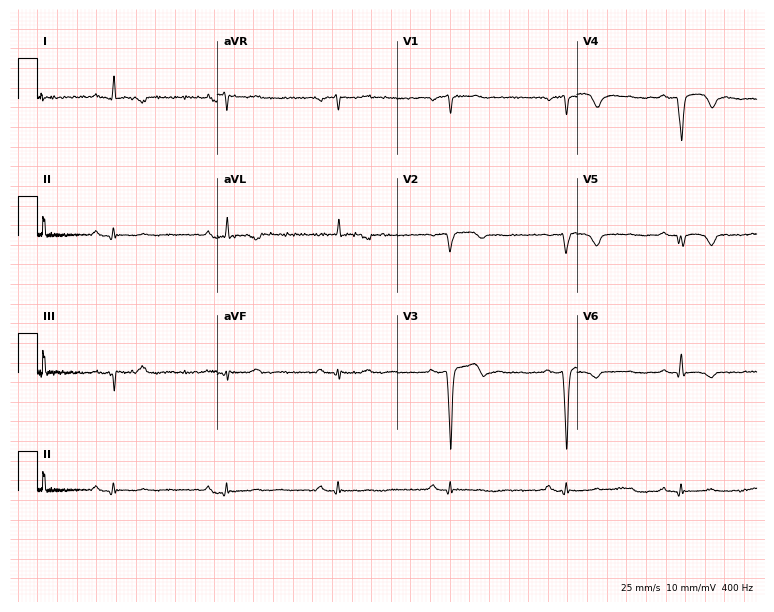
Resting 12-lead electrocardiogram. Patient: a man, 57 years old. The tracing shows sinus bradycardia (a sinus rate of 50 beats per minute or less).